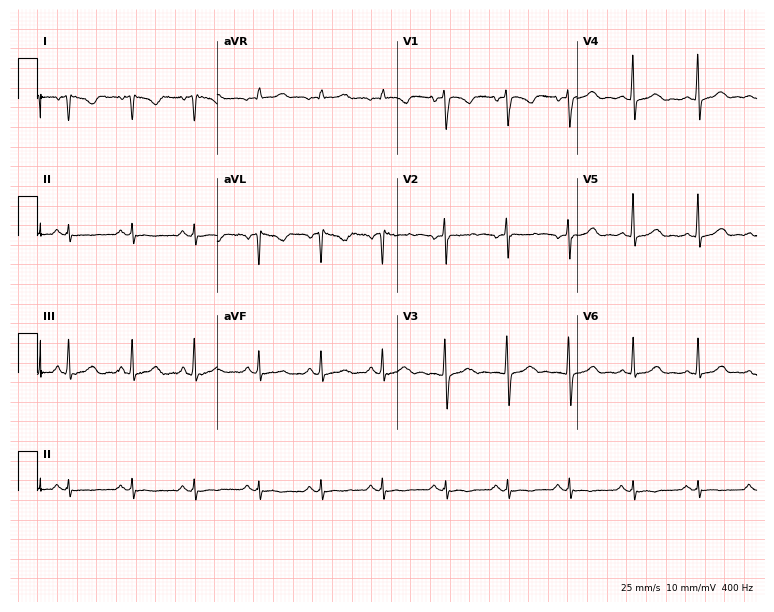
Standard 12-lead ECG recorded from a female patient, 26 years old (7.3-second recording at 400 Hz). None of these six findings is recorded: first-degree AV block, right bundle branch block, left bundle branch block, sinus bradycardia, atrial fibrillation, sinus tachycardia. Findings outside these six are not listed.